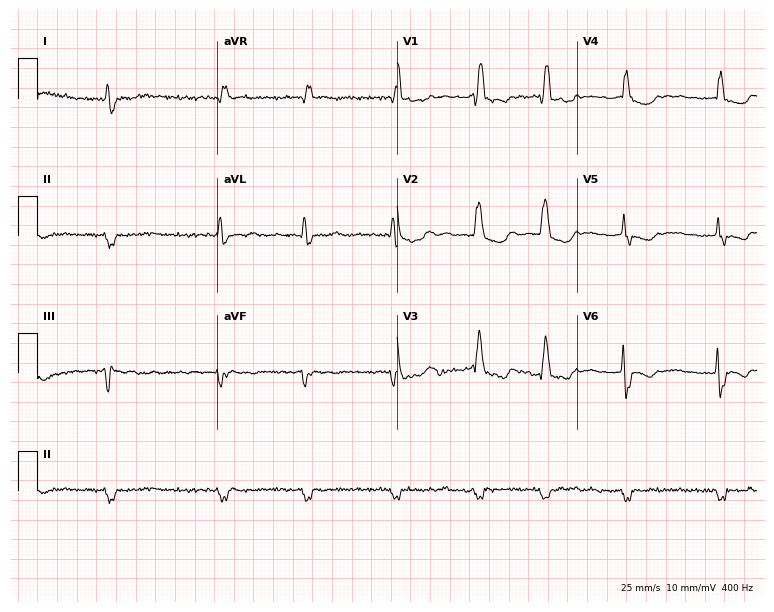
Standard 12-lead ECG recorded from a male patient, 68 years old. The tracing shows right bundle branch block, atrial fibrillation.